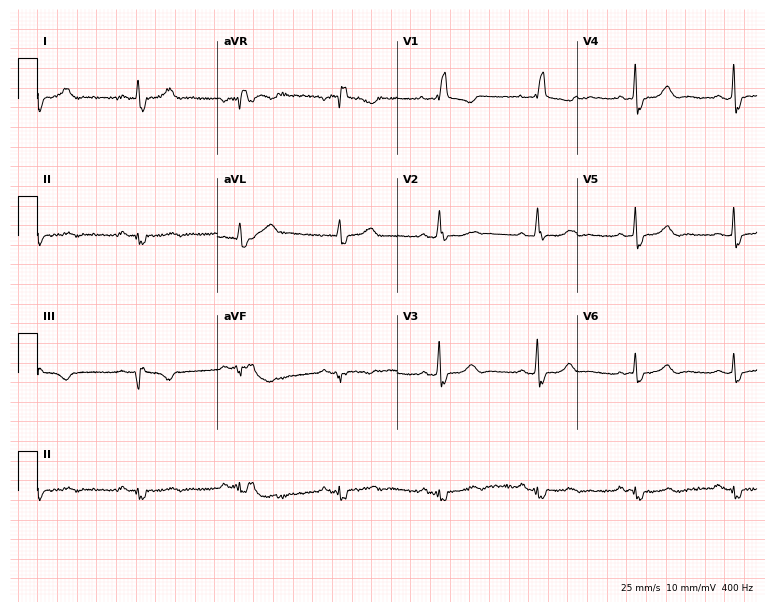
ECG (7.3-second recording at 400 Hz) — a woman, 50 years old. Findings include right bundle branch block.